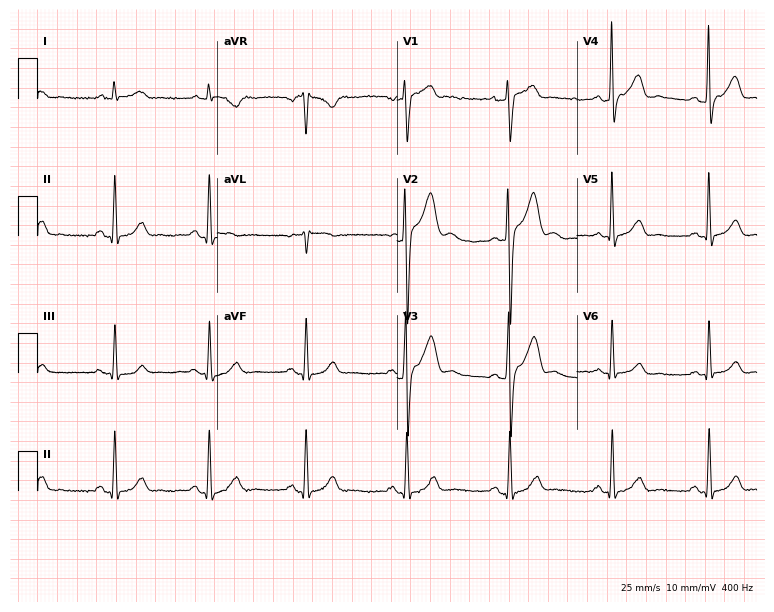
12-lead ECG from a male patient, 43 years old. Screened for six findings — first-degree AV block, right bundle branch block (RBBB), left bundle branch block (LBBB), sinus bradycardia, atrial fibrillation (AF), sinus tachycardia — none is recorded. Findings outside these six are not listed.